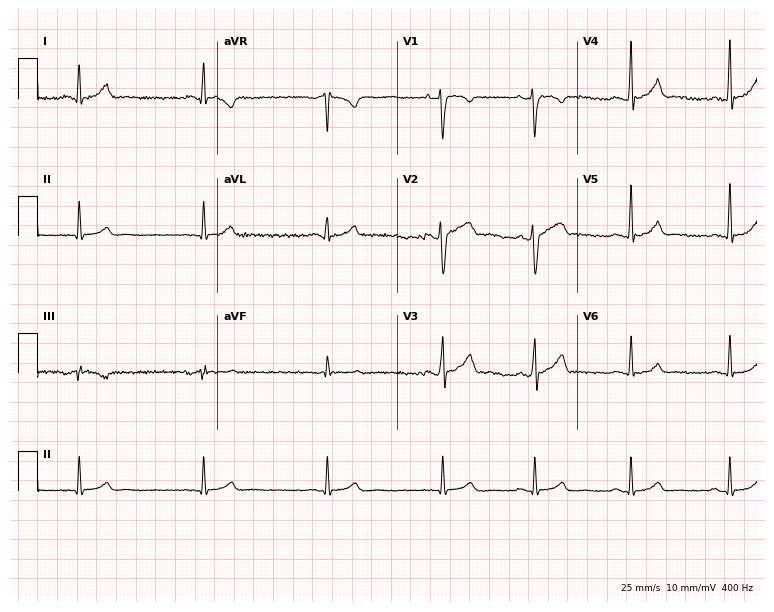
ECG (7.3-second recording at 400 Hz) — a female, 26 years old. Labelled as a normal ECG.